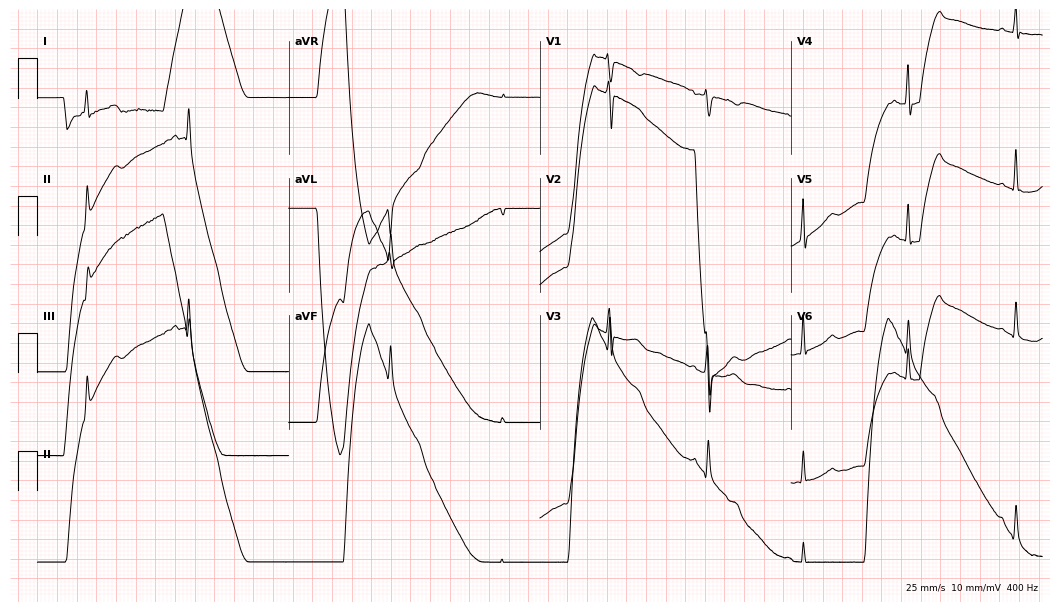
Standard 12-lead ECG recorded from a 45-year-old female. None of these six findings is recorded: first-degree AV block, right bundle branch block (RBBB), left bundle branch block (LBBB), sinus bradycardia, atrial fibrillation (AF), sinus tachycardia.